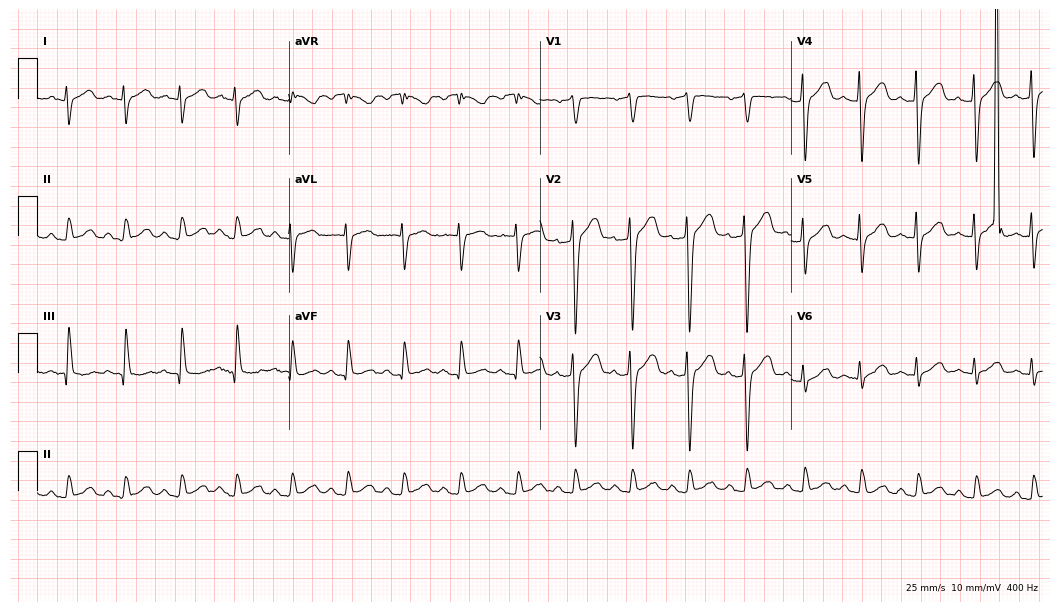
12-lead ECG from a 48-year-old male patient. Findings include sinus tachycardia (a sinus rate of 100 beats per minute or more).